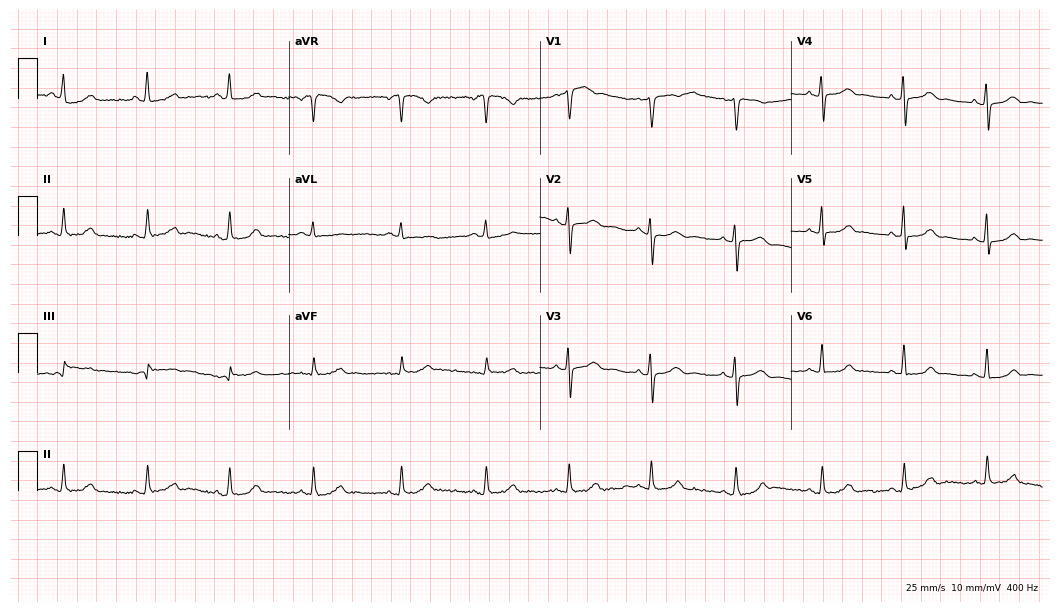
Standard 12-lead ECG recorded from a female patient, 31 years old. None of these six findings is recorded: first-degree AV block, right bundle branch block (RBBB), left bundle branch block (LBBB), sinus bradycardia, atrial fibrillation (AF), sinus tachycardia. Only these six findings were labelled.